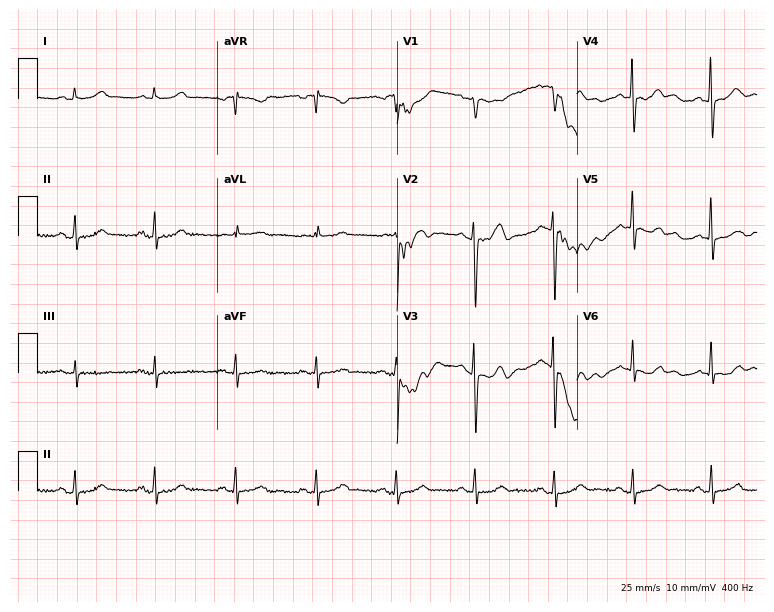
Resting 12-lead electrocardiogram (7.3-second recording at 400 Hz). Patient: a male, 69 years old. None of these six findings is recorded: first-degree AV block, right bundle branch block (RBBB), left bundle branch block (LBBB), sinus bradycardia, atrial fibrillation (AF), sinus tachycardia.